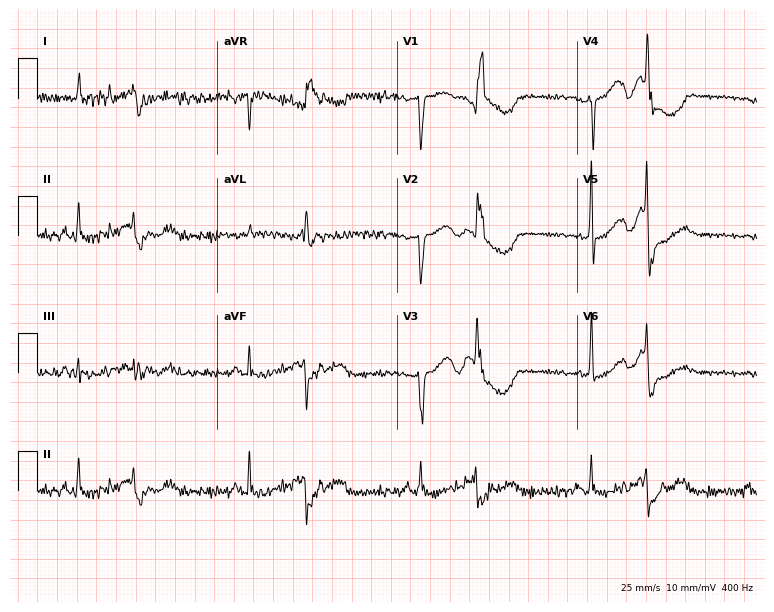
Resting 12-lead electrocardiogram (7.3-second recording at 400 Hz). Patient: a man, 62 years old. None of these six findings is recorded: first-degree AV block, right bundle branch block, left bundle branch block, sinus bradycardia, atrial fibrillation, sinus tachycardia. Only these six findings were labelled.